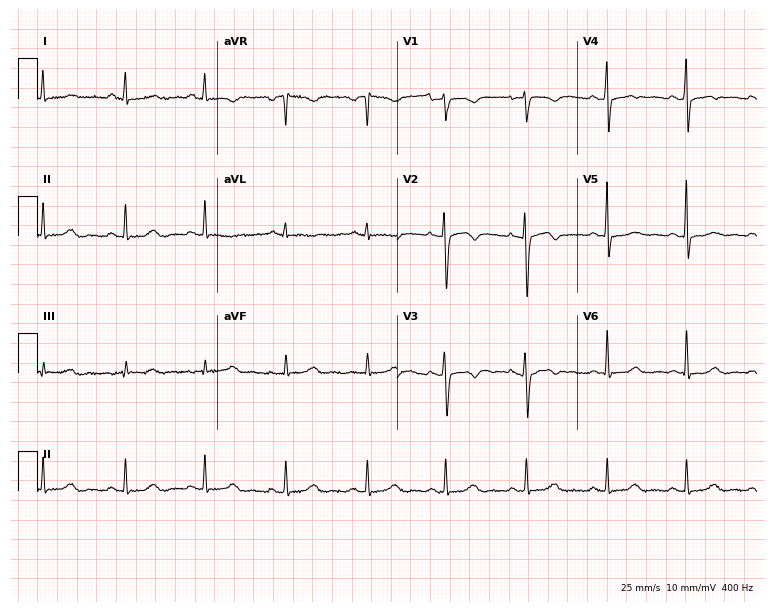
12-lead ECG (7.3-second recording at 400 Hz) from a 24-year-old female patient. Screened for six findings — first-degree AV block, right bundle branch block, left bundle branch block, sinus bradycardia, atrial fibrillation, sinus tachycardia — none is recorded. Other findings, if any, are not listed.